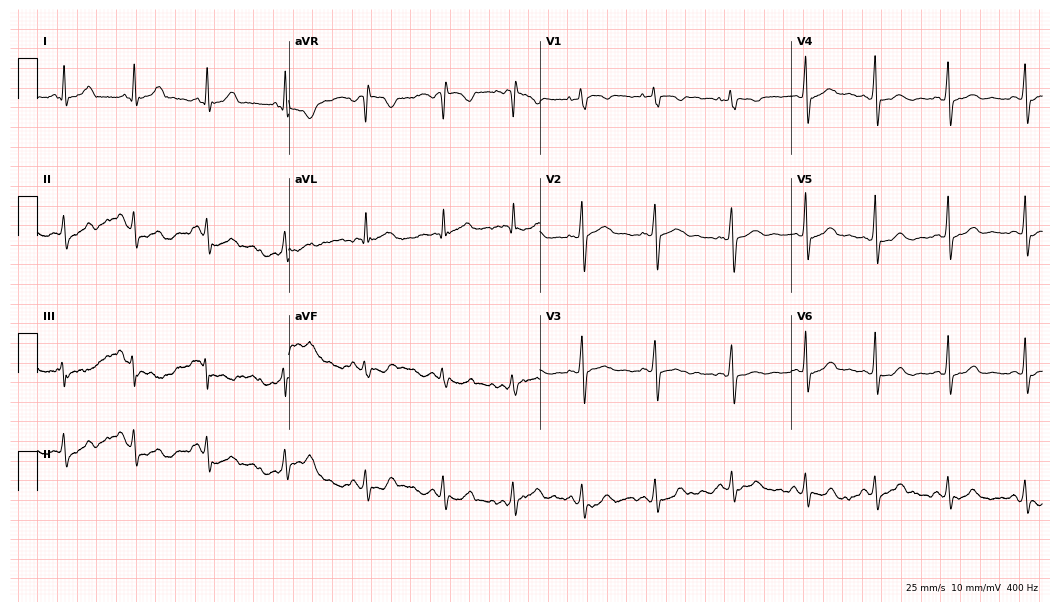
12-lead ECG (10.2-second recording at 400 Hz) from a 26-year-old female. Labelled as a normal ECG.